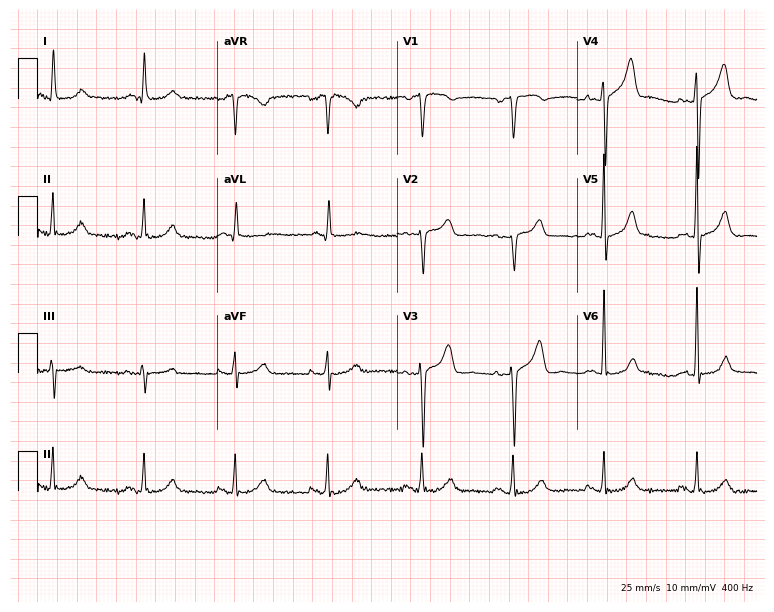
Resting 12-lead electrocardiogram. Patient: a 68-year-old male. None of these six findings is recorded: first-degree AV block, right bundle branch block (RBBB), left bundle branch block (LBBB), sinus bradycardia, atrial fibrillation (AF), sinus tachycardia.